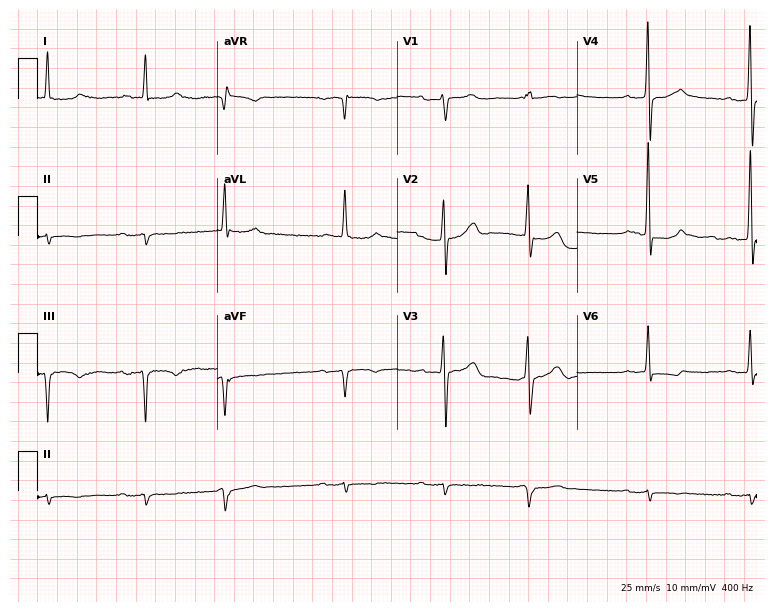
Electrocardiogram (7.3-second recording at 400 Hz), an 84-year-old man. Interpretation includes first-degree AV block.